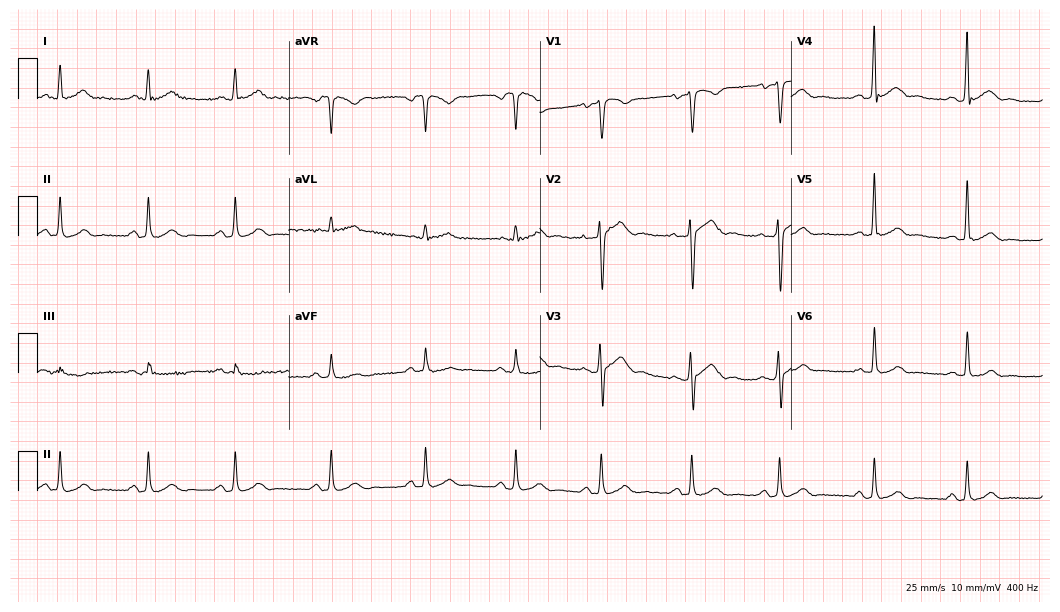
Standard 12-lead ECG recorded from a 47-year-old man. None of these six findings is recorded: first-degree AV block, right bundle branch block, left bundle branch block, sinus bradycardia, atrial fibrillation, sinus tachycardia. Findings outside these six are not listed.